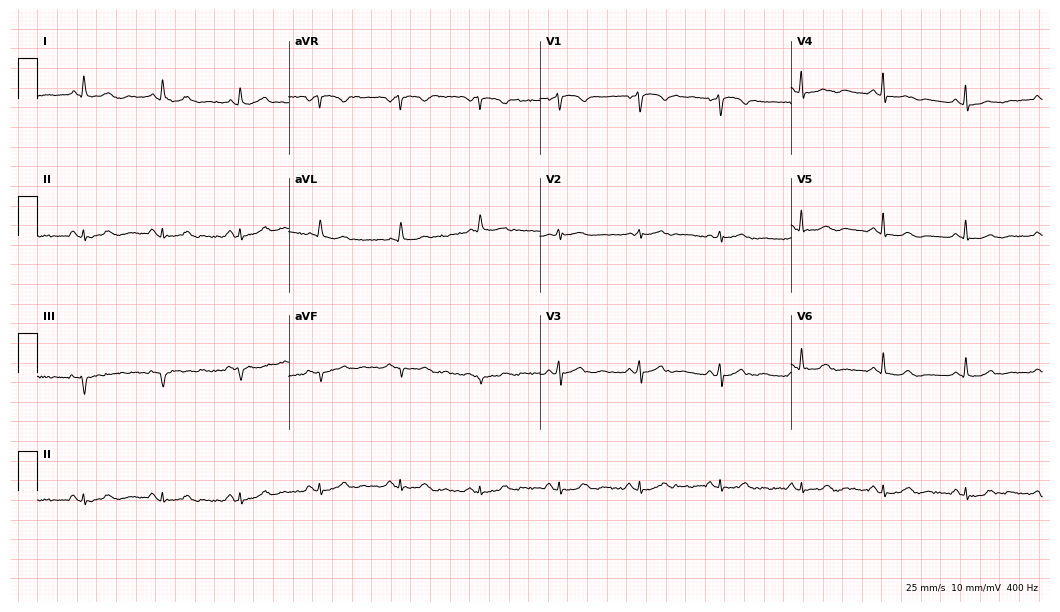
12-lead ECG from a 70-year-old male. No first-degree AV block, right bundle branch block (RBBB), left bundle branch block (LBBB), sinus bradycardia, atrial fibrillation (AF) or sinus tachycardia recorded for this tracing. Other findings, if any, are not listed.